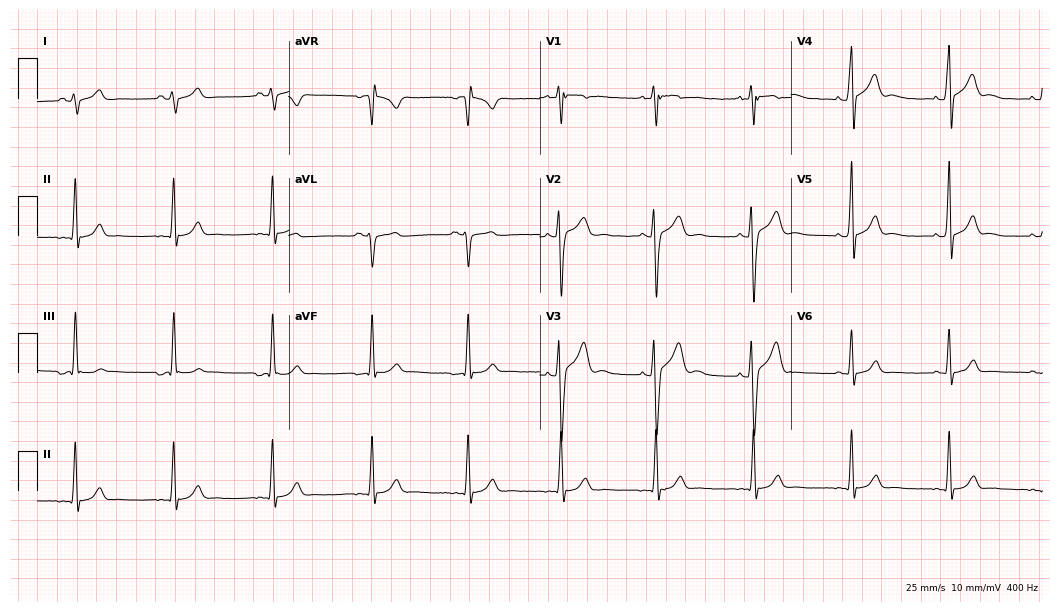
Standard 12-lead ECG recorded from a man, 20 years old. Read as a normal ECG.